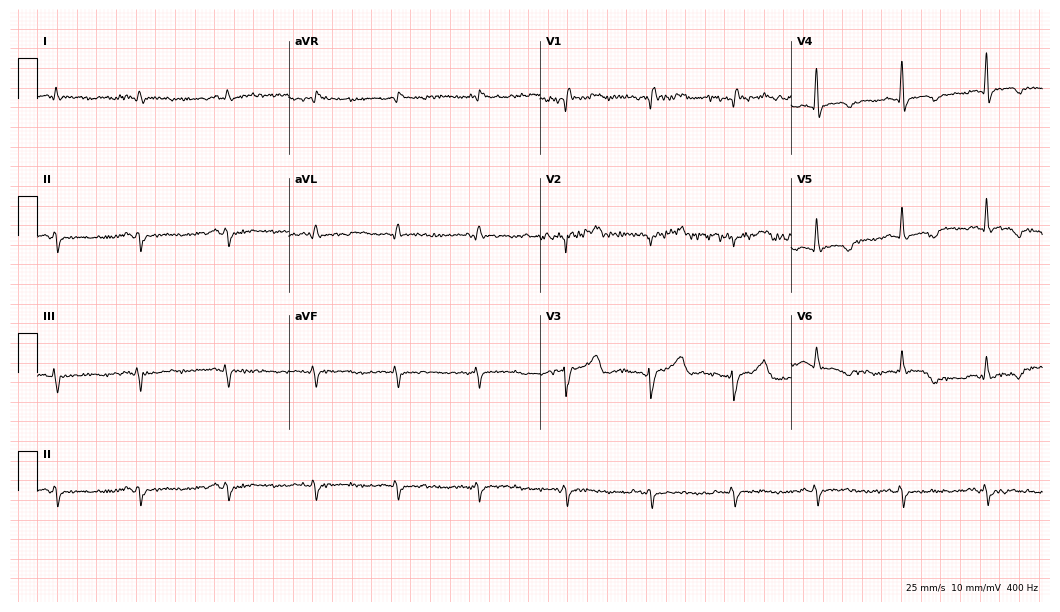
Standard 12-lead ECG recorded from a male patient, 71 years old (10.2-second recording at 400 Hz). None of these six findings is recorded: first-degree AV block, right bundle branch block, left bundle branch block, sinus bradycardia, atrial fibrillation, sinus tachycardia. Only these six findings were labelled.